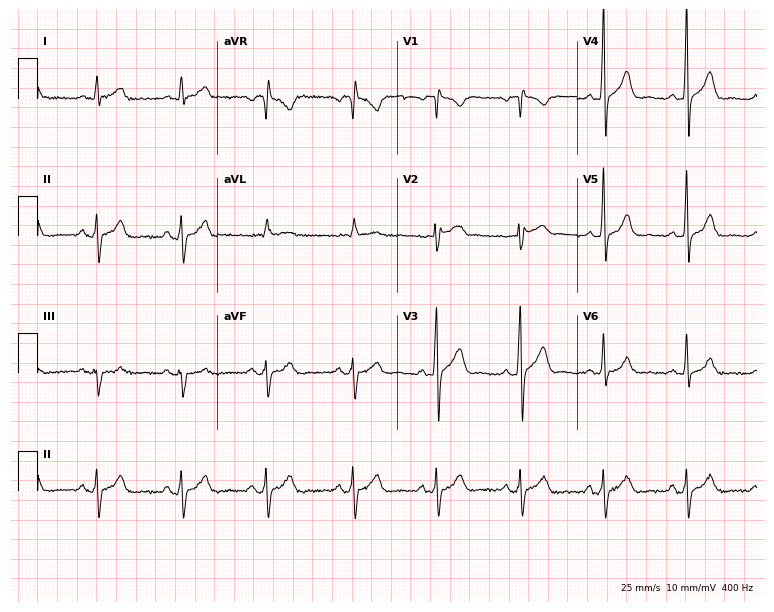
Resting 12-lead electrocardiogram (7.3-second recording at 400 Hz). Patient: a 59-year-old male. None of these six findings is recorded: first-degree AV block, right bundle branch block, left bundle branch block, sinus bradycardia, atrial fibrillation, sinus tachycardia. Findings outside these six are not listed.